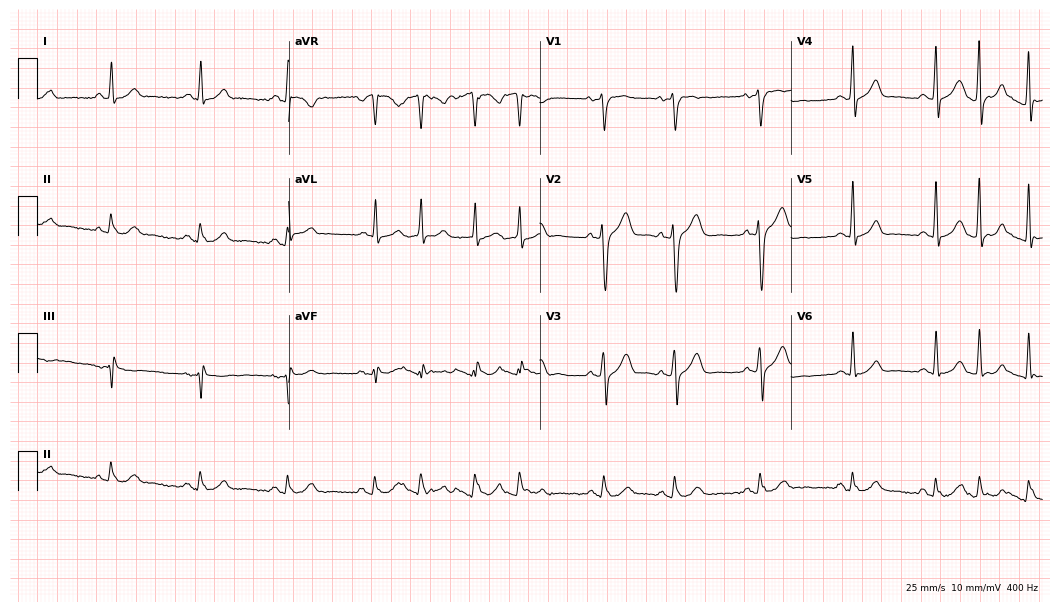
ECG — a 52-year-old man. Screened for six findings — first-degree AV block, right bundle branch block, left bundle branch block, sinus bradycardia, atrial fibrillation, sinus tachycardia — none is recorded. Other findings, if any, are not listed.